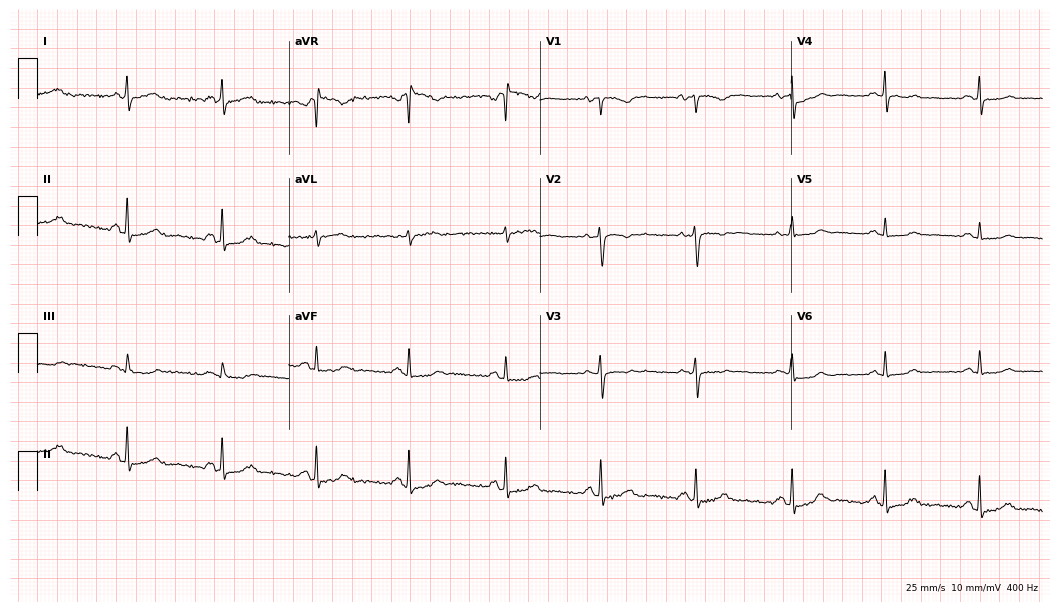
Standard 12-lead ECG recorded from a 38-year-old woman. Read as a normal ECG.